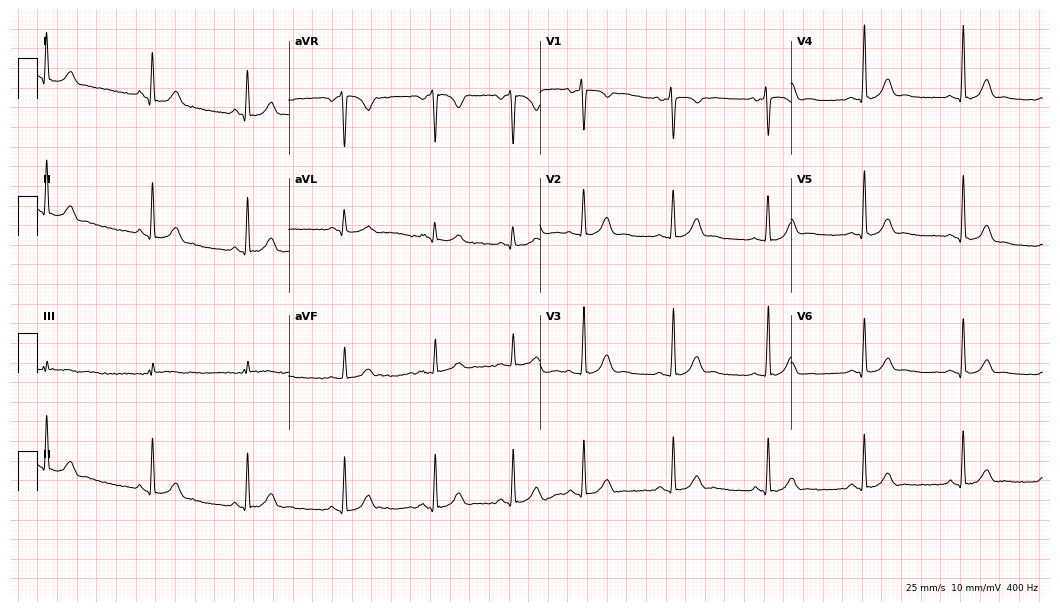
12-lead ECG (10.2-second recording at 400 Hz) from a 19-year-old female. Labelled as a normal ECG.